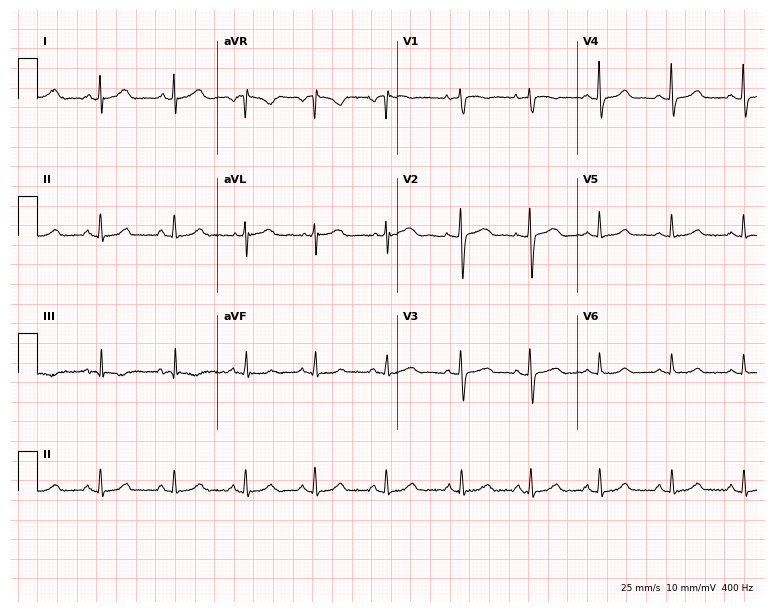
Electrocardiogram (7.3-second recording at 400 Hz), a woman, 44 years old. Overall reading on record: normal ECG.